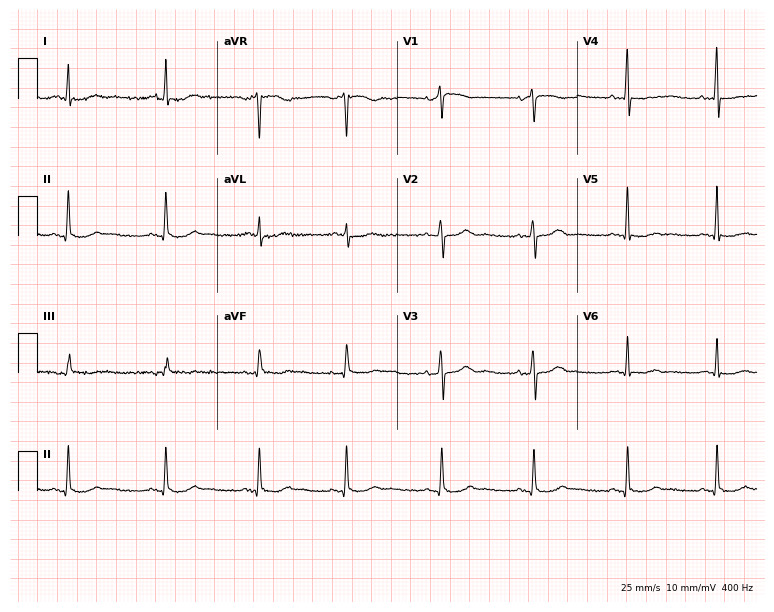
12-lead ECG from a woman, 59 years old (7.3-second recording at 400 Hz). Recorded interpretation: within normal limits.